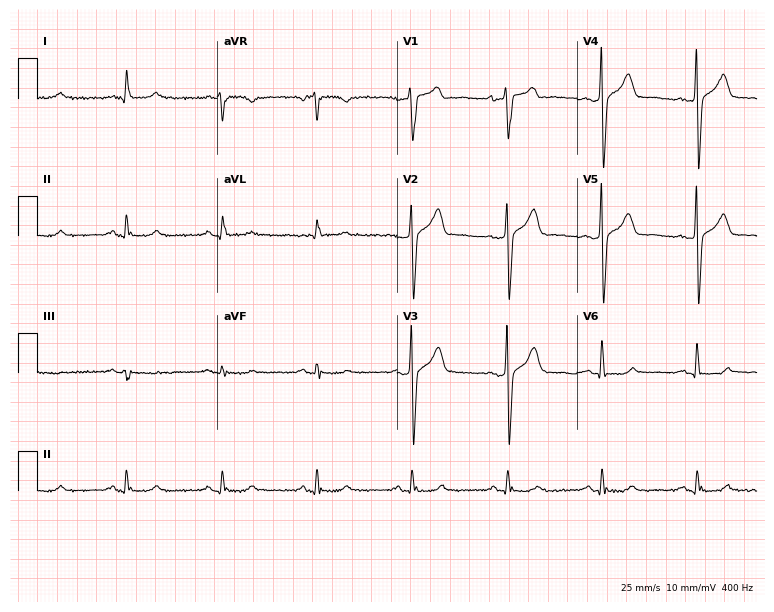
ECG (7.3-second recording at 400 Hz) — a 67-year-old man. Labelled as a normal ECG.